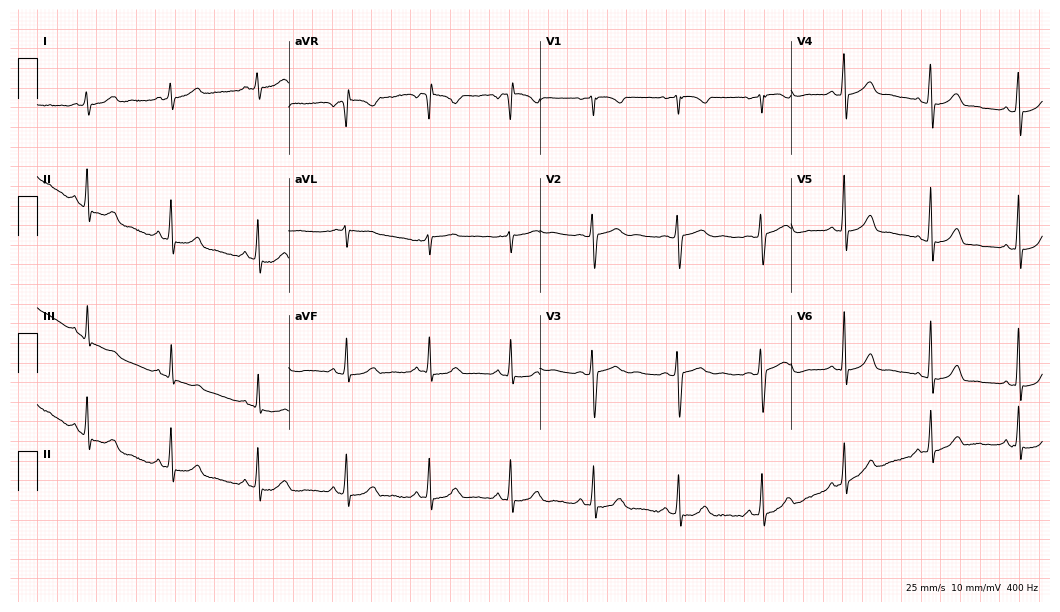
Standard 12-lead ECG recorded from a female, 32 years old. Read as a normal ECG.